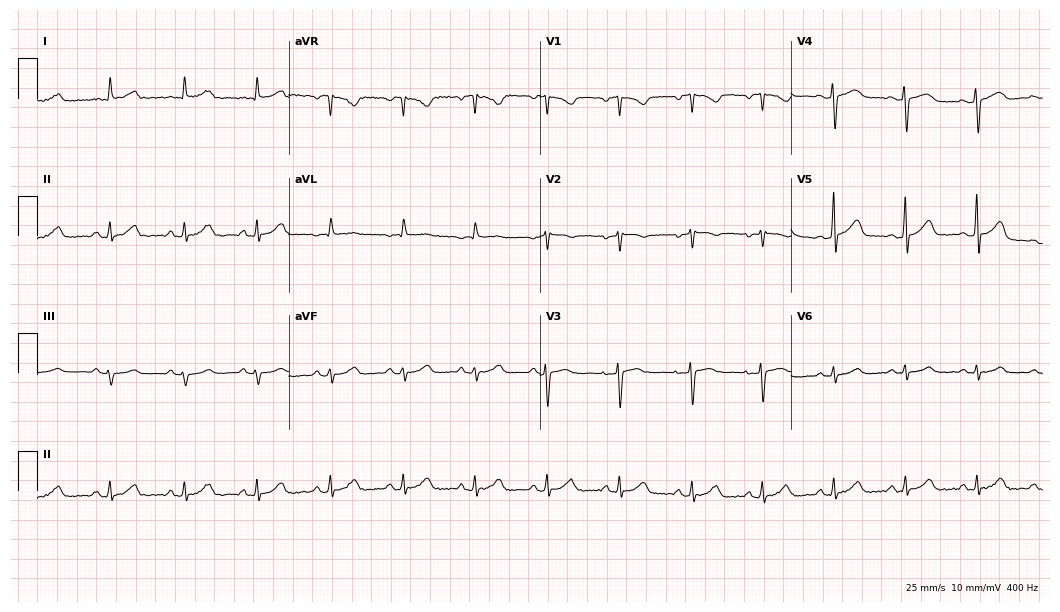
12-lead ECG from a 50-year-old woman. Labelled as a normal ECG.